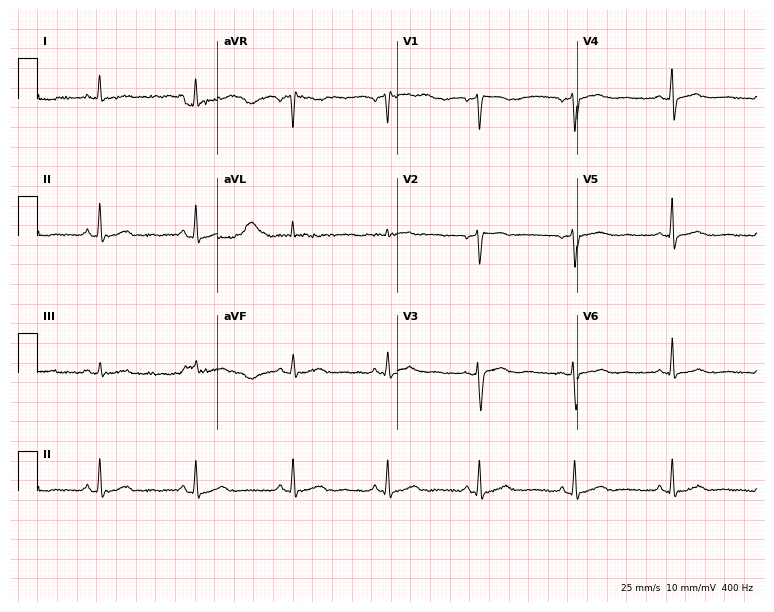
ECG (7.3-second recording at 400 Hz) — a 44-year-old female patient. Screened for six findings — first-degree AV block, right bundle branch block (RBBB), left bundle branch block (LBBB), sinus bradycardia, atrial fibrillation (AF), sinus tachycardia — none is recorded.